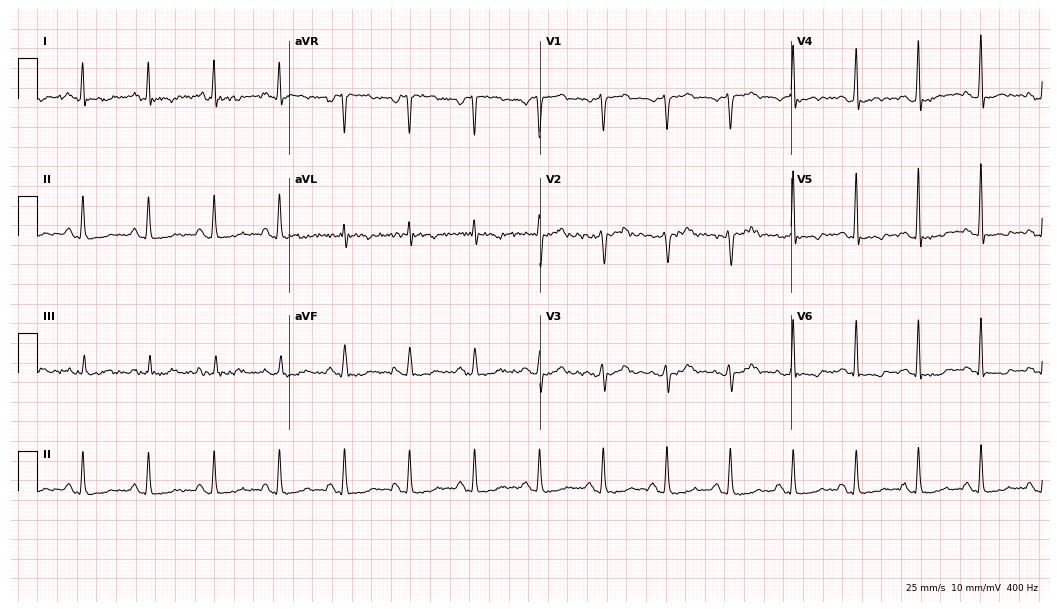
12-lead ECG from a woman, 42 years old. Screened for six findings — first-degree AV block, right bundle branch block, left bundle branch block, sinus bradycardia, atrial fibrillation, sinus tachycardia — none is recorded. Findings outside these six are not listed.